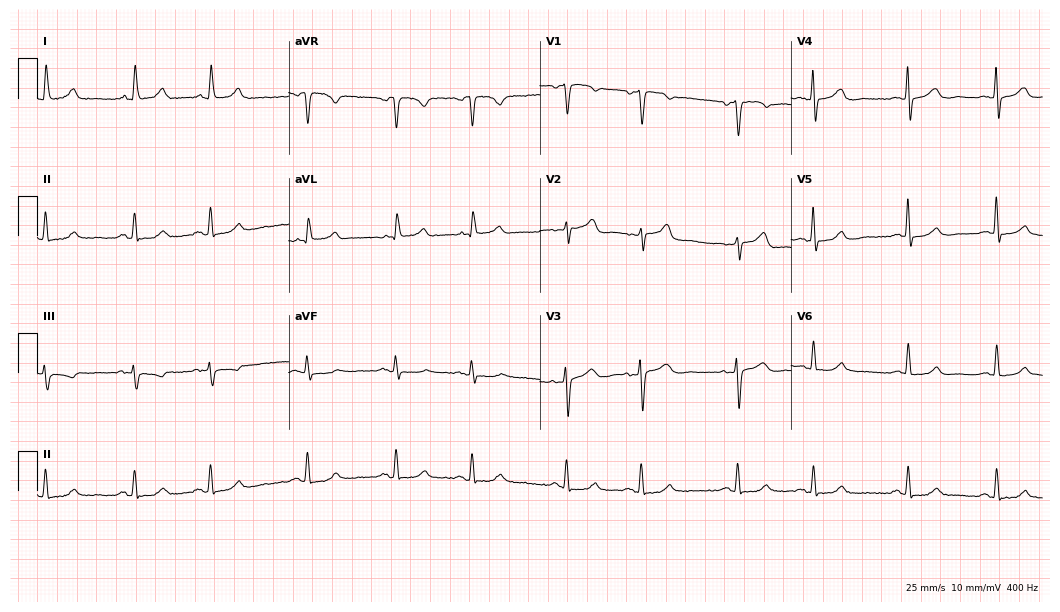
Resting 12-lead electrocardiogram (10.2-second recording at 400 Hz). Patient: a 74-year-old woman. Read as a normal ECG.